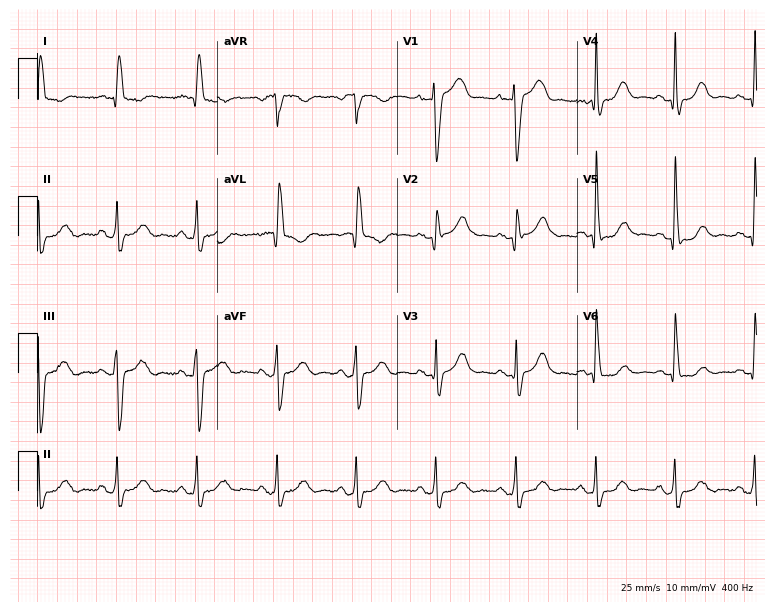
12-lead ECG from a 75-year-old female patient. No first-degree AV block, right bundle branch block (RBBB), left bundle branch block (LBBB), sinus bradycardia, atrial fibrillation (AF) or sinus tachycardia recorded for this tracing.